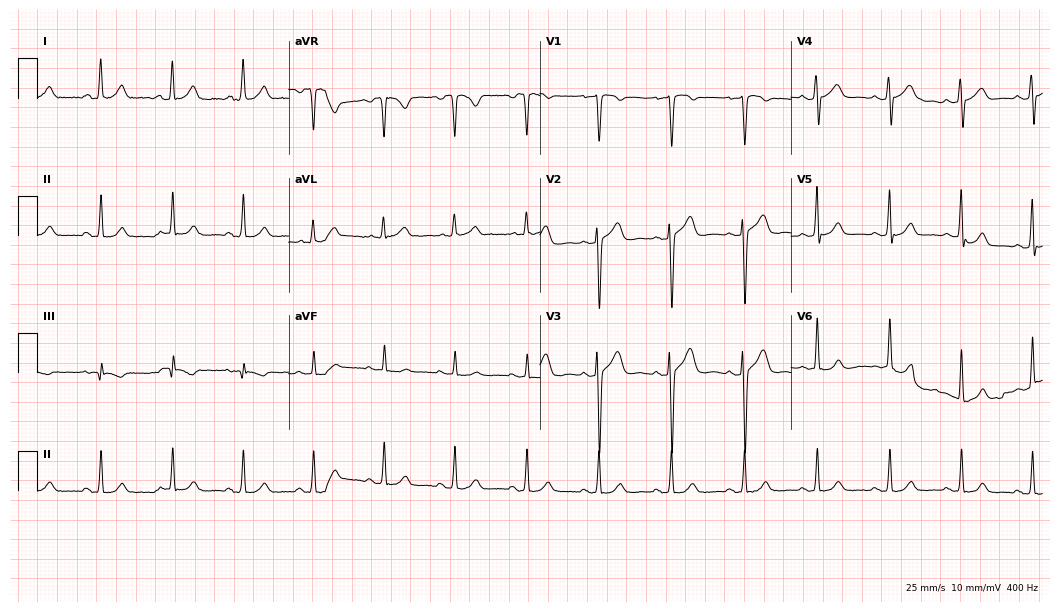
Standard 12-lead ECG recorded from a male, 30 years old. Read as a normal ECG.